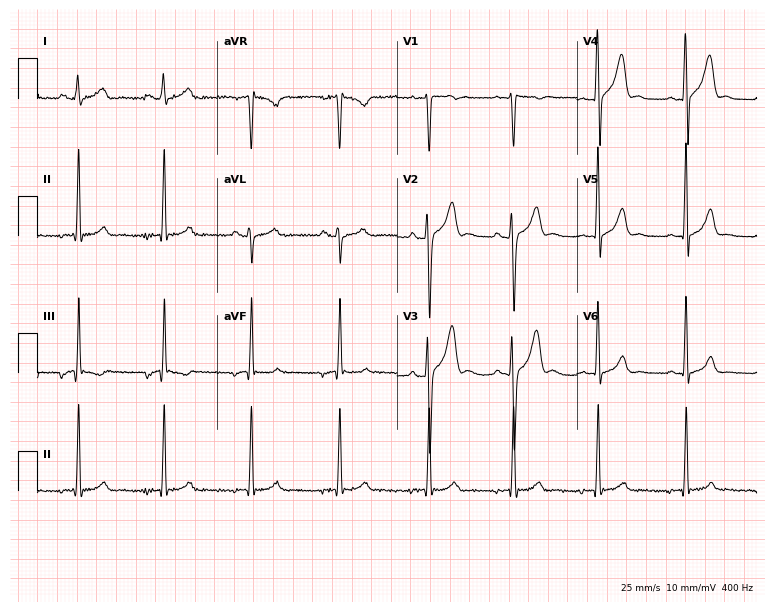
Resting 12-lead electrocardiogram. Patient: a 23-year-old female. None of these six findings is recorded: first-degree AV block, right bundle branch block, left bundle branch block, sinus bradycardia, atrial fibrillation, sinus tachycardia. Findings outside these six are not listed.